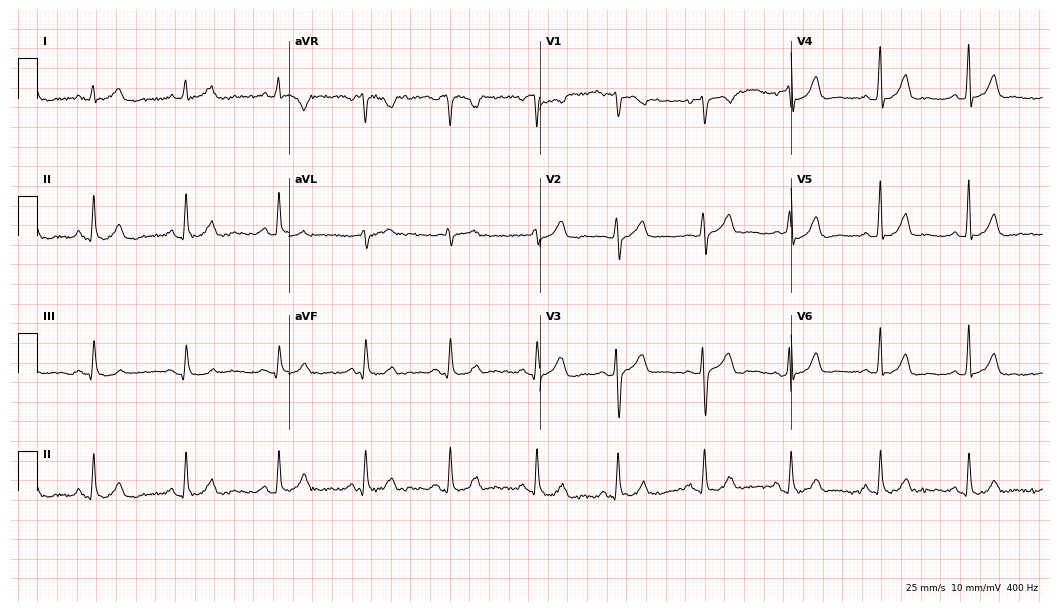
Electrocardiogram (10.2-second recording at 400 Hz), a female patient, 47 years old. Overall reading on record: normal ECG.